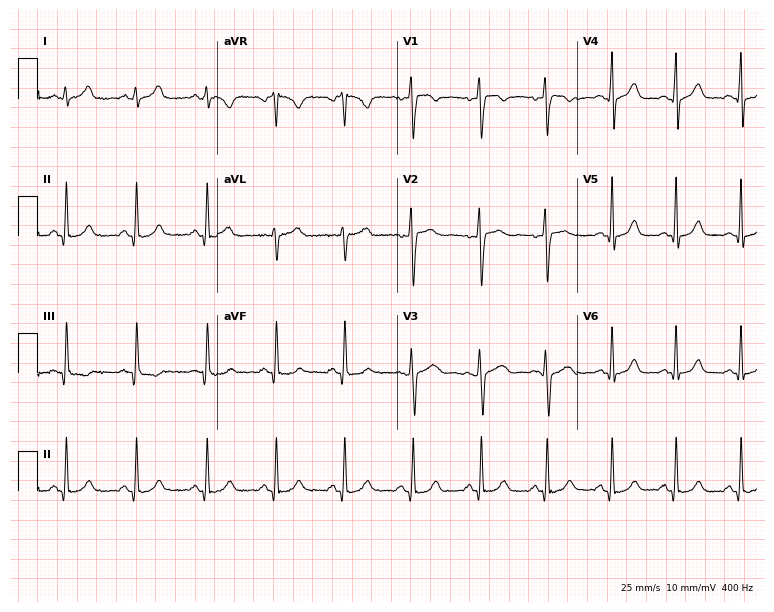
12-lead ECG from a 23-year-old female. Screened for six findings — first-degree AV block, right bundle branch block, left bundle branch block, sinus bradycardia, atrial fibrillation, sinus tachycardia — none is recorded. Only these six findings were labelled.